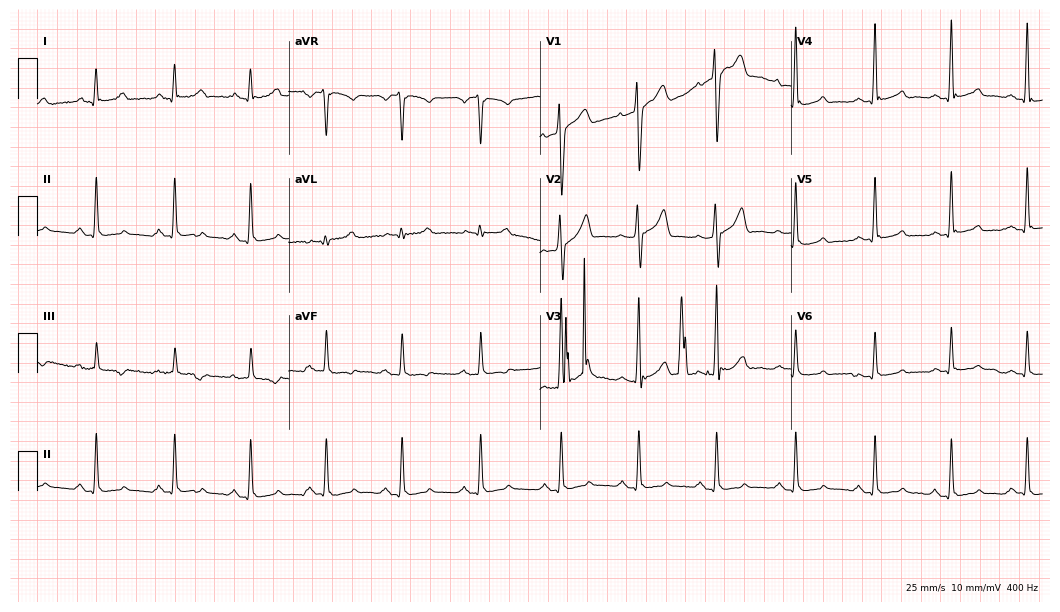
12-lead ECG from a male, 33 years old. Screened for six findings — first-degree AV block, right bundle branch block, left bundle branch block, sinus bradycardia, atrial fibrillation, sinus tachycardia — none is recorded.